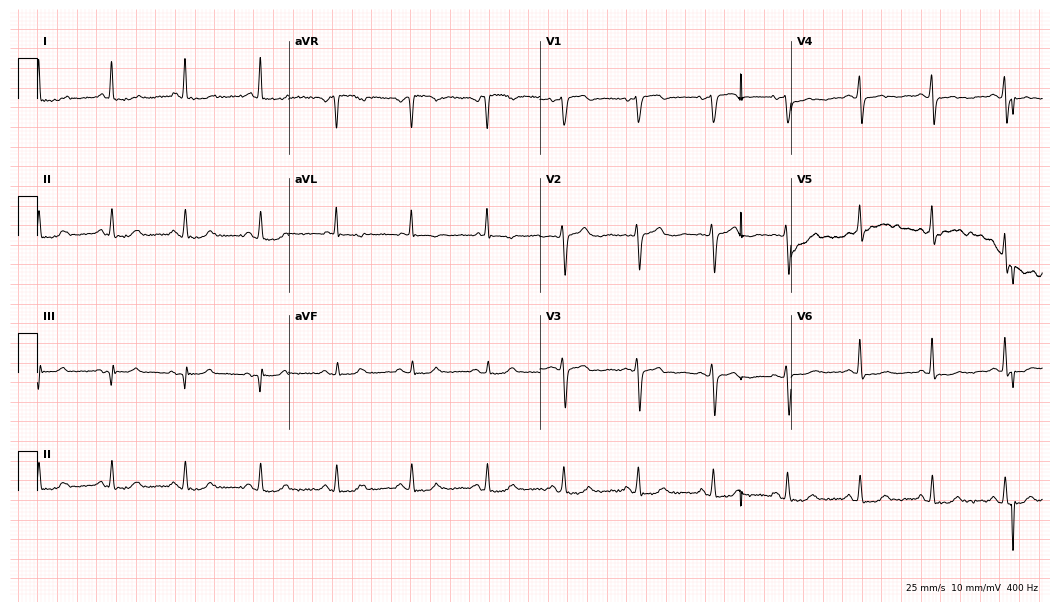
Resting 12-lead electrocardiogram. Patient: a female, 52 years old. Read as a normal ECG.